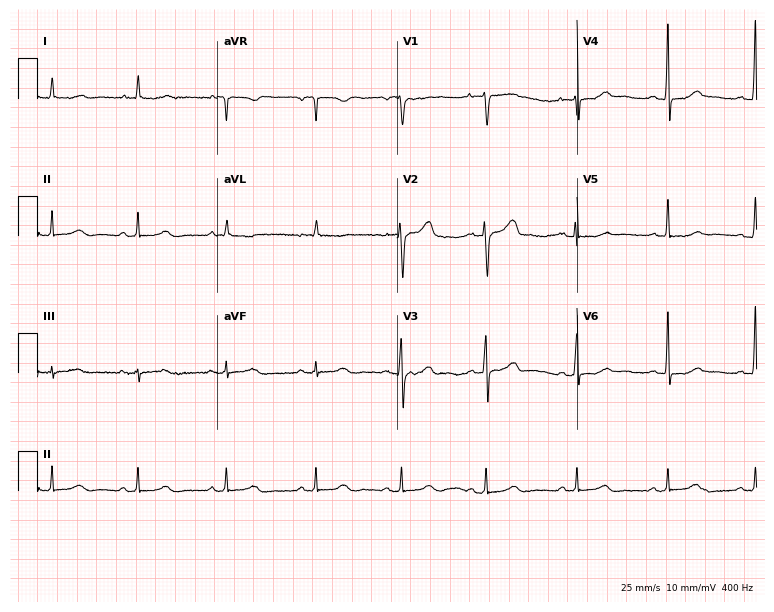
Resting 12-lead electrocardiogram (7.3-second recording at 400 Hz). Patient: a woman, 51 years old. None of these six findings is recorded: first-degree AV block, right bundle branch block (RBBB), left bundle branch block (LBBB), sinus bradycardia, atrial fibrillation (AF), sinus tachycardia. Only these six findings were labelled.